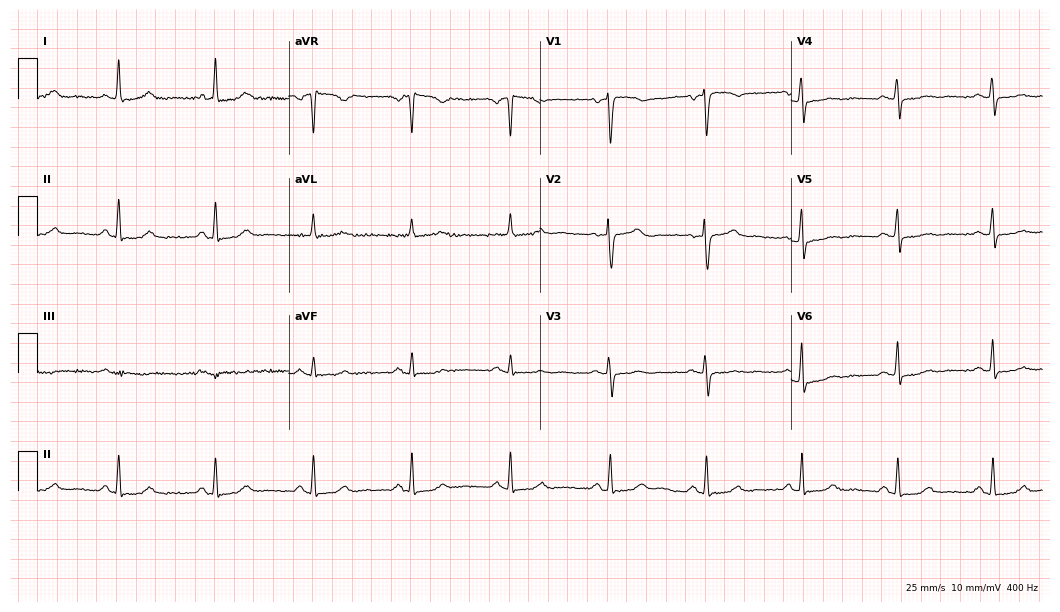
12-lead ECG from a 54-year-old woman. Recorded interpretation: within normal limits.